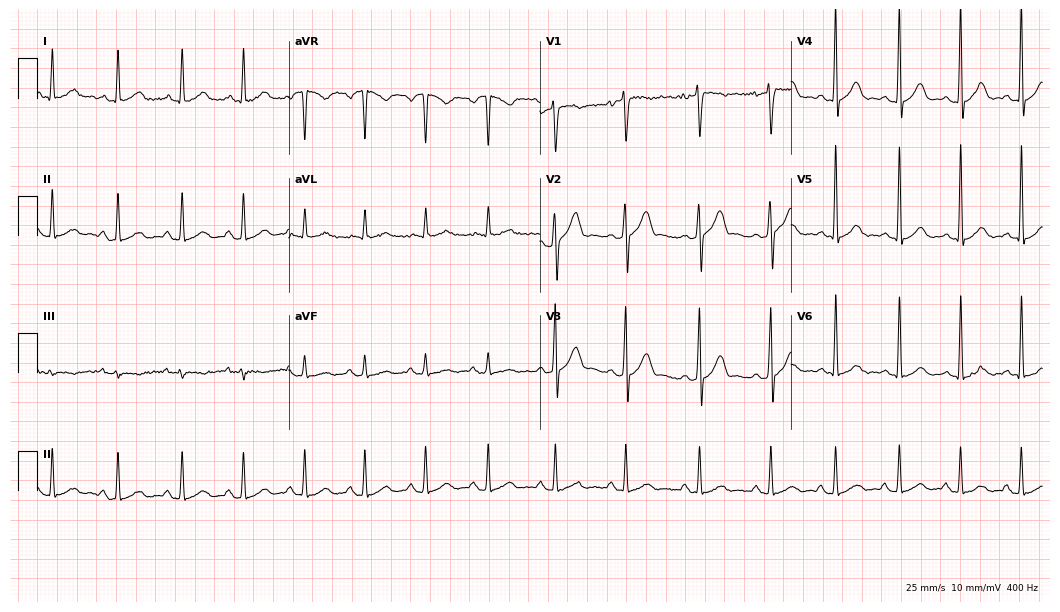
12-lead ECG from a male, 46 years old. Screened for six findings — first-degree AV block, right bundle branch block (RBBB), left bundle branch block (LBBB), sinus bradycardia, atrial fibrillation (AF), sinus tachycardia — none is recorded.